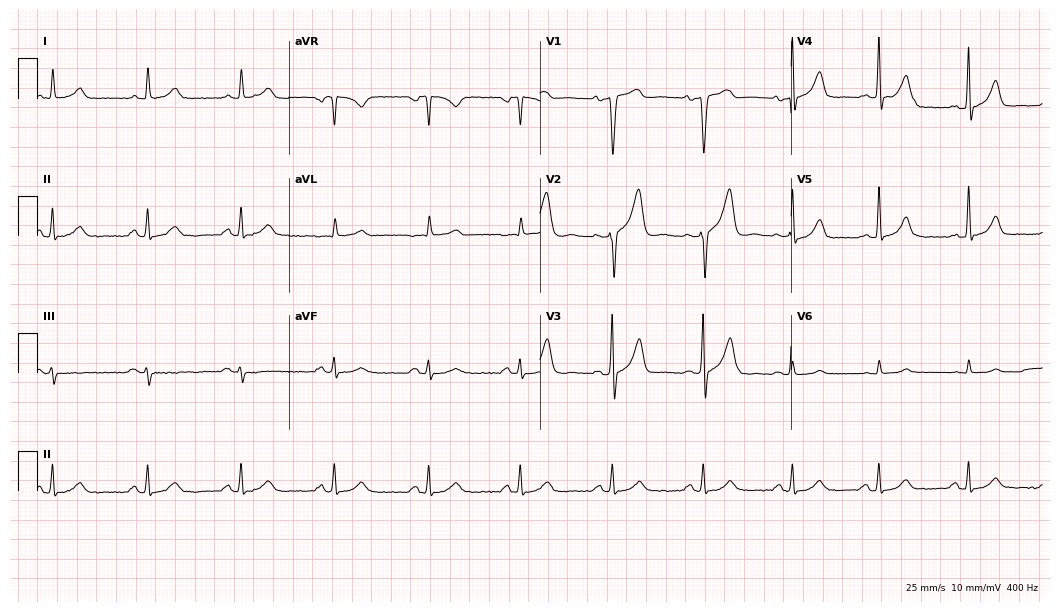
Resting 12-lead electrocardiogram. Patient: a man, 63 years old. None of these six findings is recorded: first-degree AV block, right bundle branch block (RBBB), left bundle branch block (LBBB), sinus bradycardia, atrial fibrillation (AF), sinus tachycardia.